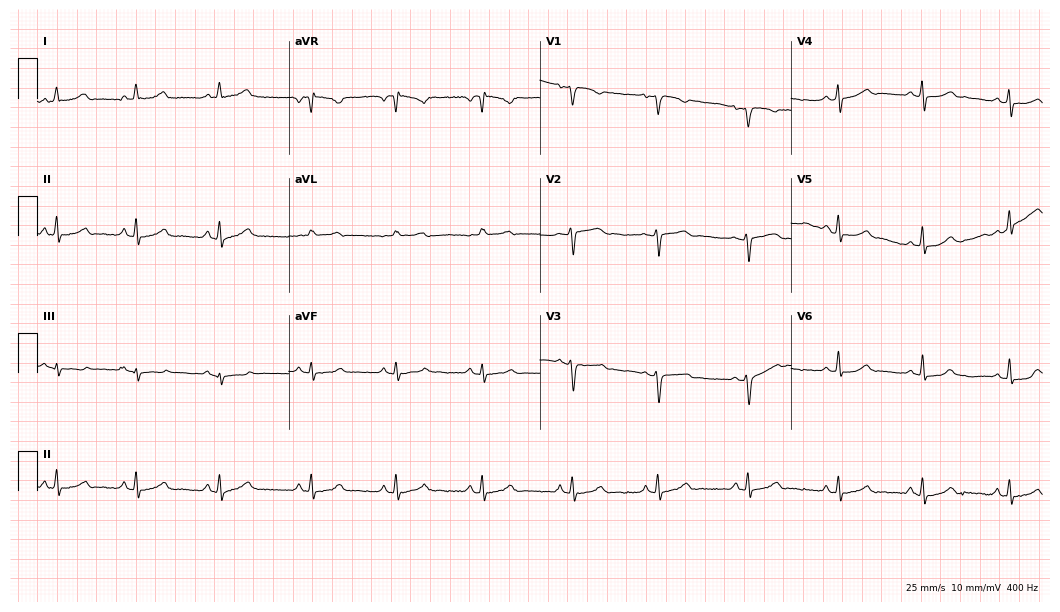
12-lead ECG from a 23-year-old female patient. Recorded interpretation: within normal limits.